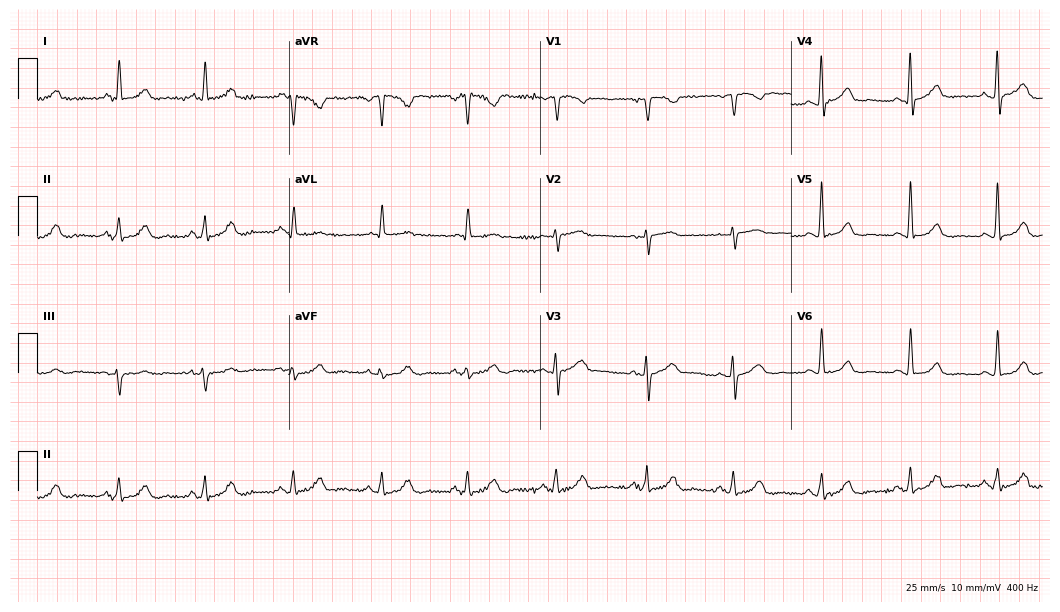
12-lead ECG (10.2-second recording at 400 Hz) from a woman, 73 years old. Labelled as a normal ECG.